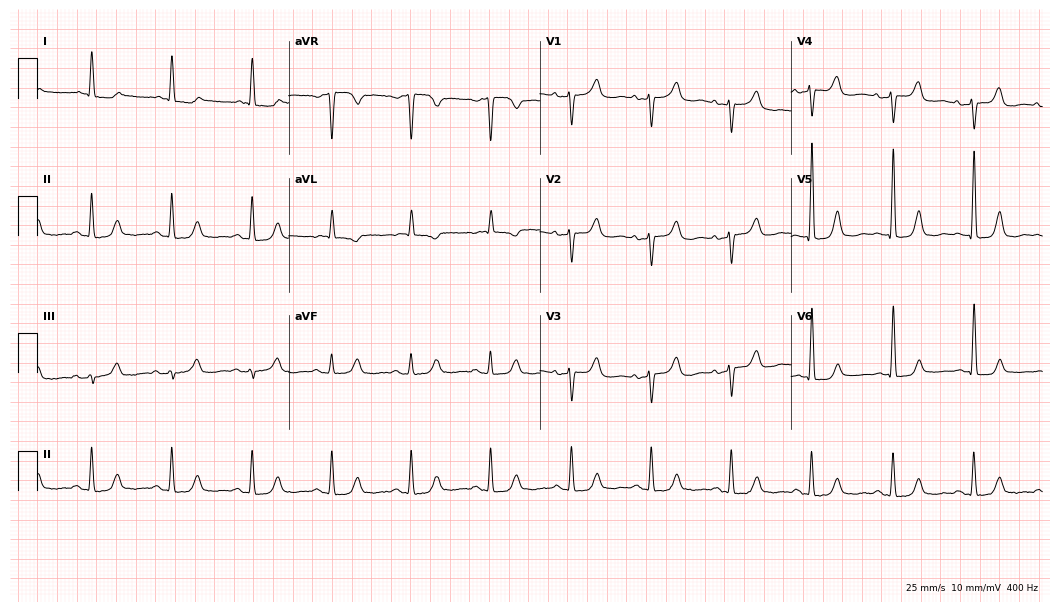
ECG — a 73-year-old female patient. Screened for six findings — first-degree AV block, right bundle branch block, left bundle branch block, sinus bradycardia, atrial fibrillation, sinus tachycardia — none is recorded.